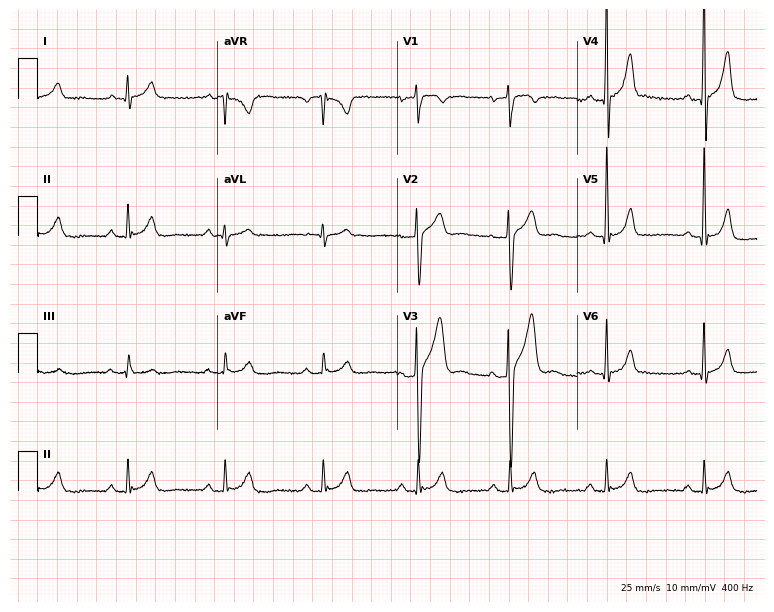
Standard 12-lead ECG recorded from a man, 28 years old (7.3-second recording at 400 Hz). Read as a normal ECG.